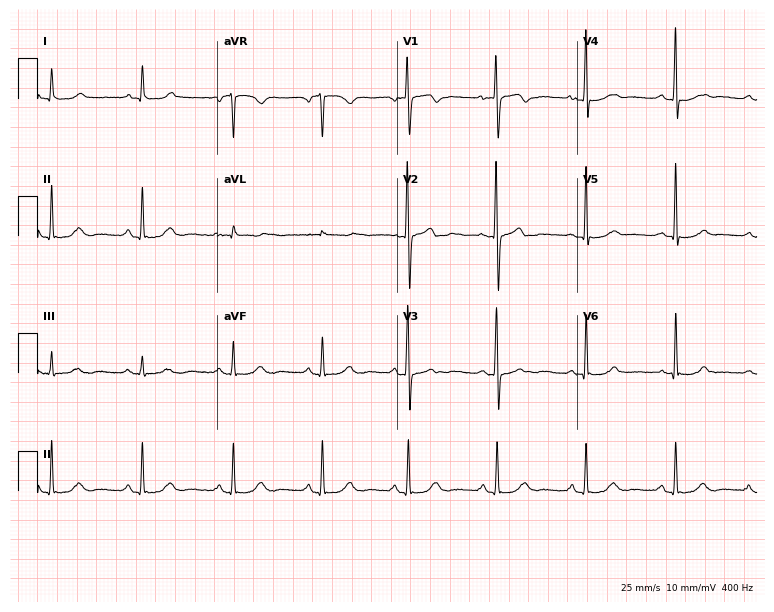
12-lead ECG (7.3-second recording at 400 Hz) from a female, 64 years old. Labelled as a normal ECG.